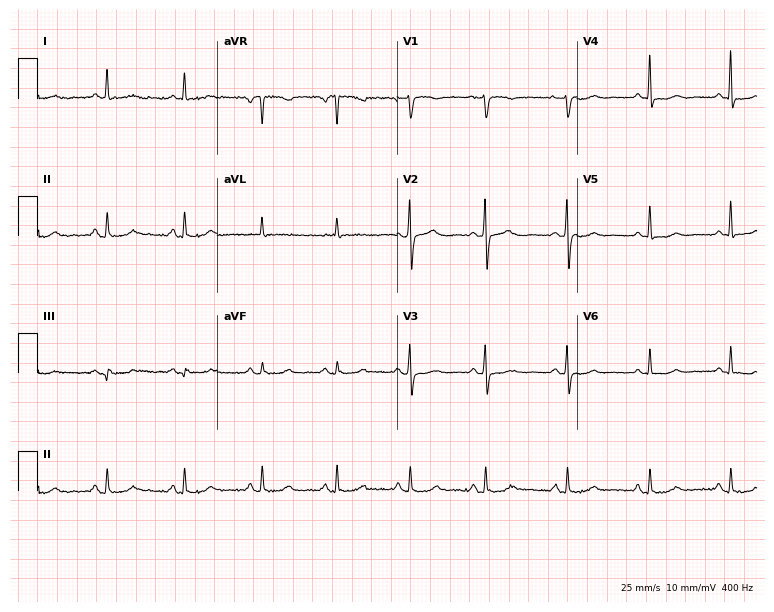
12-lead ECG from a female, 74 years old. No first-degree AV block, right bundle branch block, left bundle branch block, sinus bradycardia, atrial fibrillation or sinus tachycardia recorded for this tracing.